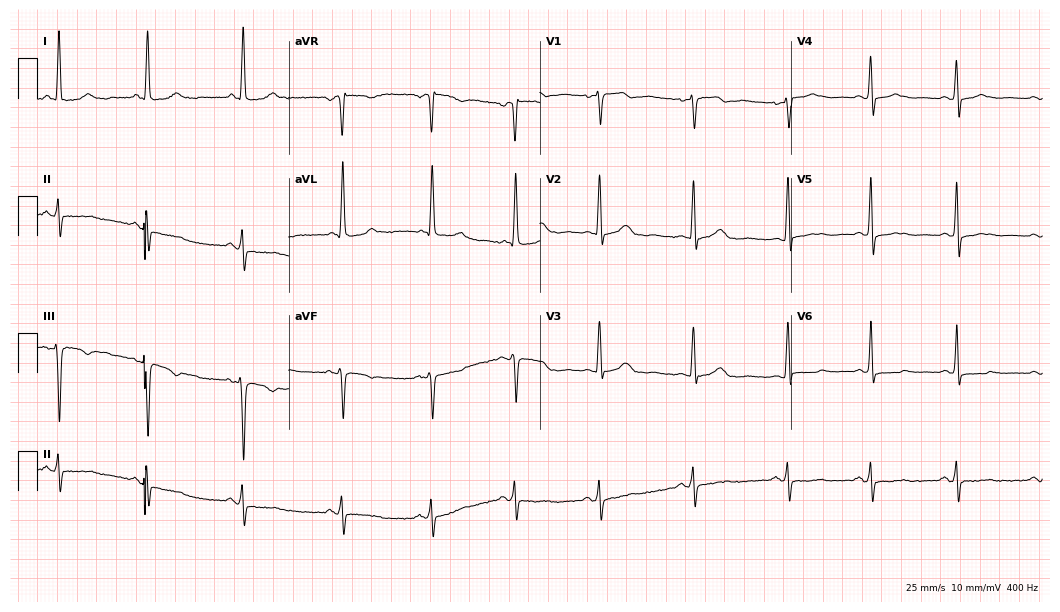
Electrocardiogram (10.2-second recording at 400 Hz), a woman, 72 years old. Of the six screened findings (first-degree AV block, right bundle branch block, left bundle branch block, sinus bradycardia, atrial fibrillation, sinus tachycardia), none is recorded.